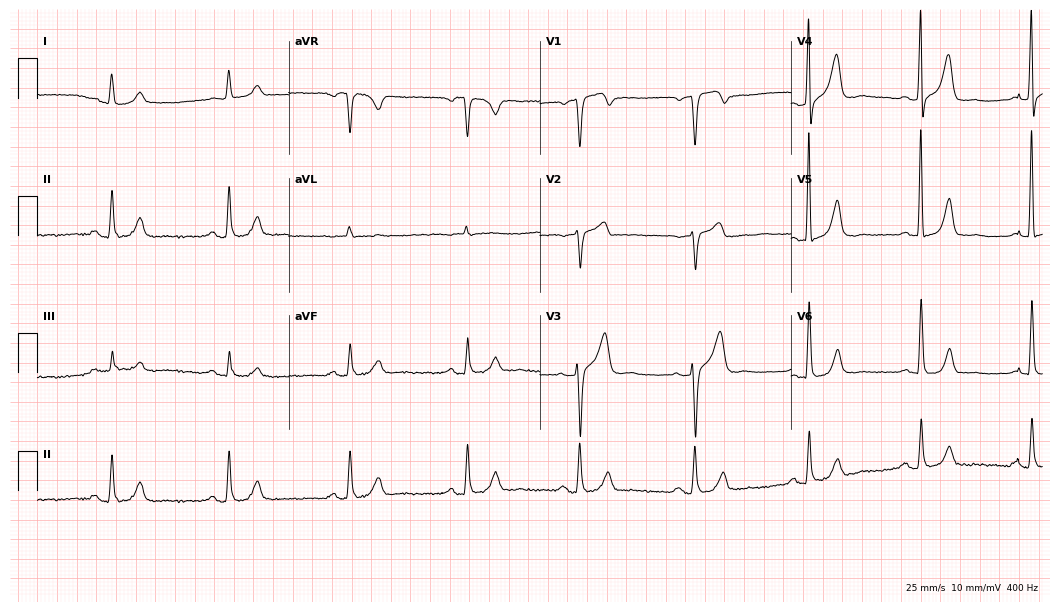
Electrocardiogram (10.2-second recording at 400 Hz), a 68-year-old male patient. Overall reading on record: normal ECG.